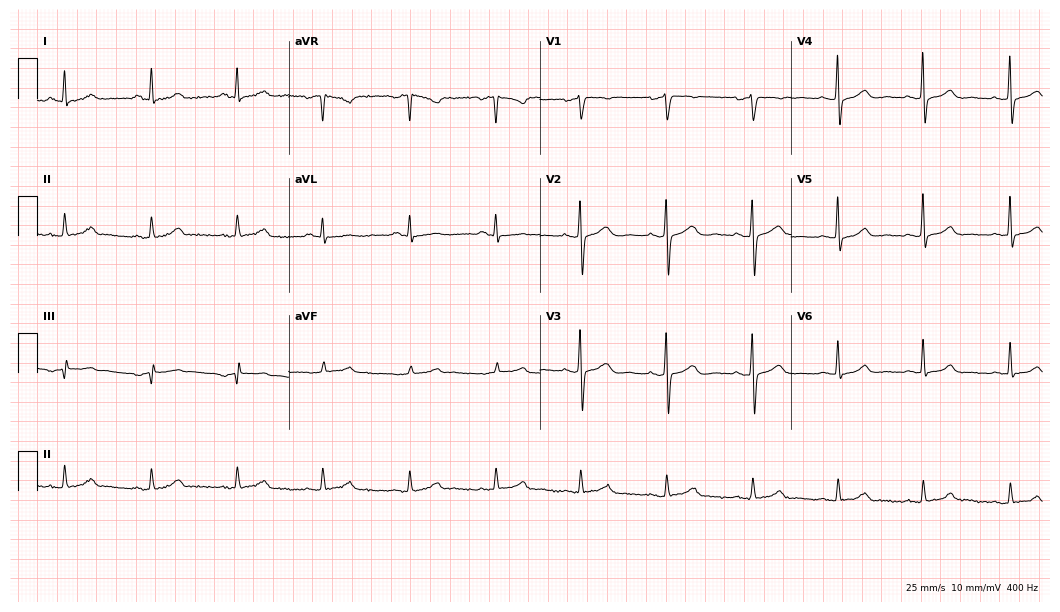
12-lead ECG from a 61-year-old female. Labelled as a normal ECG.